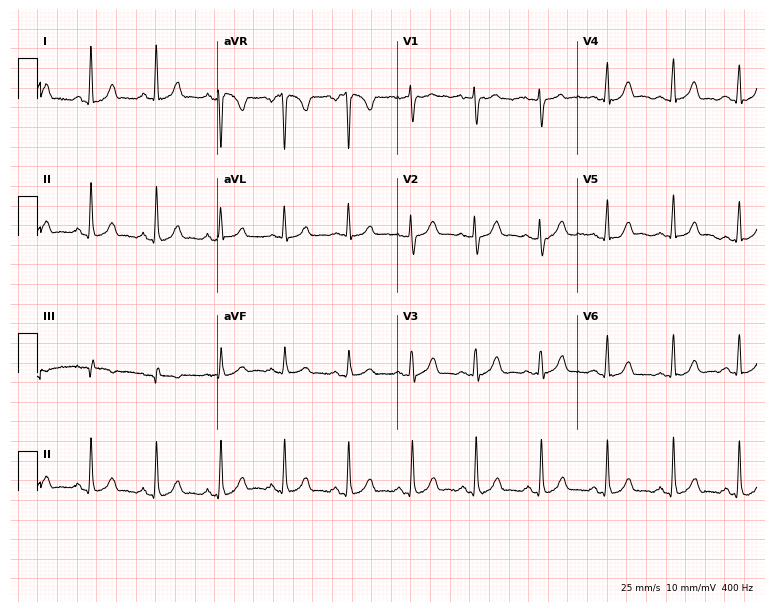
Electrocardiogram, a woman, 35 years old. Overall reading on record: normal ECG.